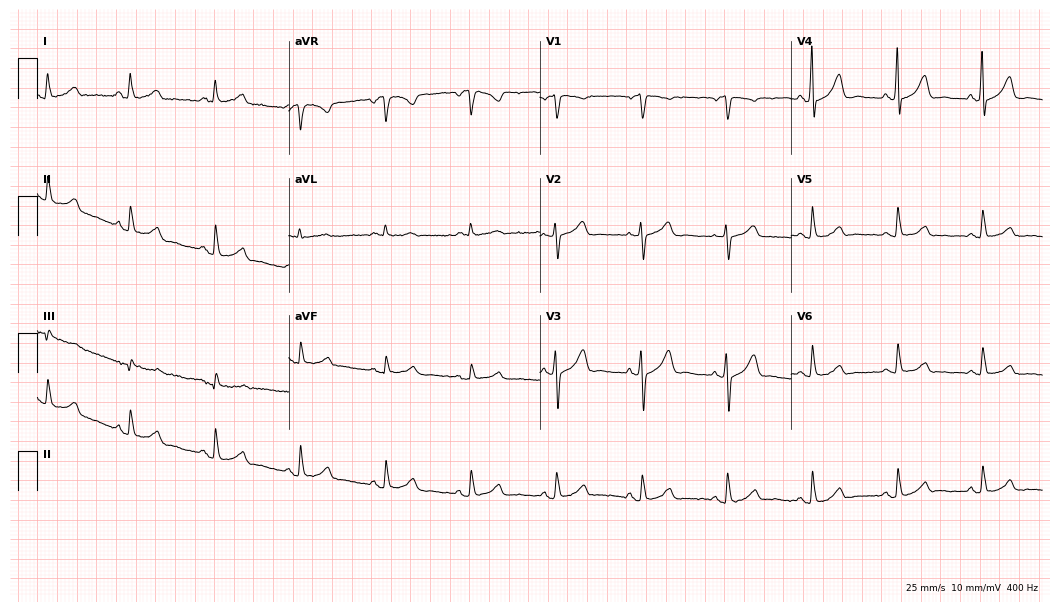
ECG (10.2-second recording at 400 Hz) — a female, 71 years old. Labelled as a normal ECG.